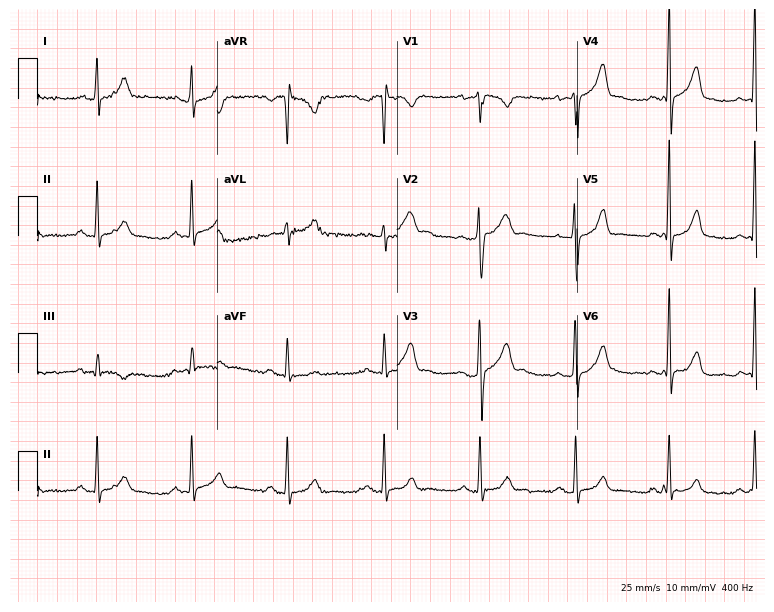
12-lead ECG from a male, 36 years old (7.3-second recording at 400 Hz). Recorded interpretation: within normal limits.